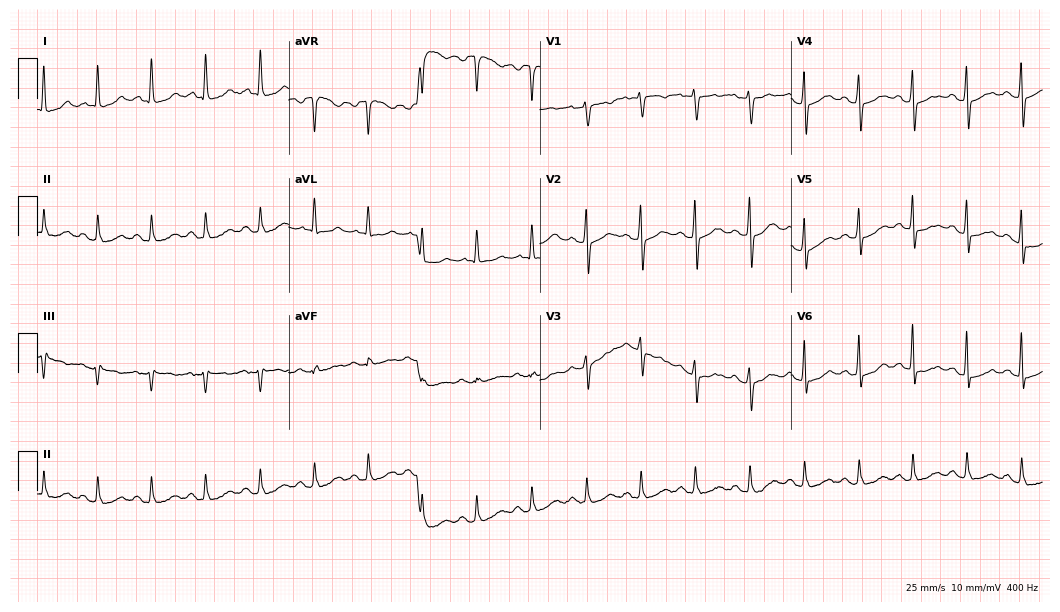
12-lead ECG from a woman, 73 years old (10.2-second recording at 400 Hz). Shows sinus tachycardia (a sinus rate of 100 beats per minute or more).